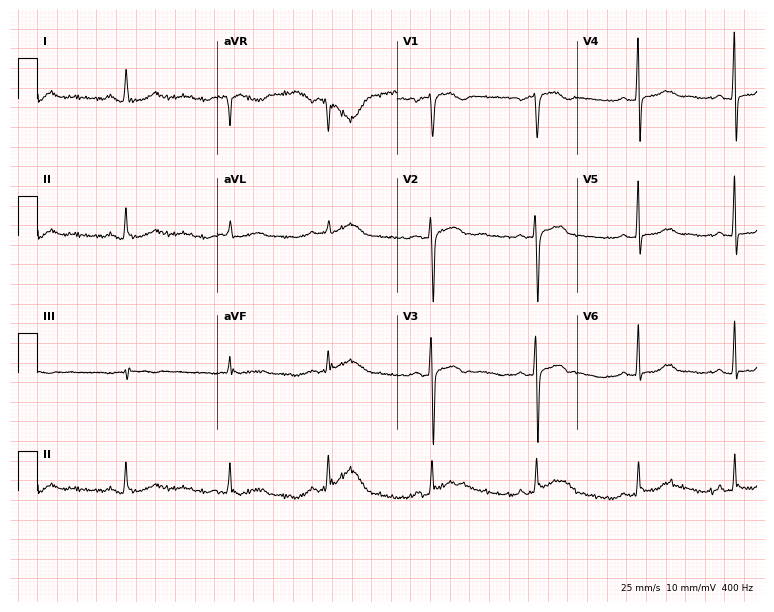
ECG — a woman, 47 years old. Screened for six findings — first-degree AV block, right bundle branch block (RBBB), left bundle branch block (LBBB), sinus bradycardia, atrial fibrillation (AF), sinus tachycardia — none is recorded. Findings outside these six are not listed.